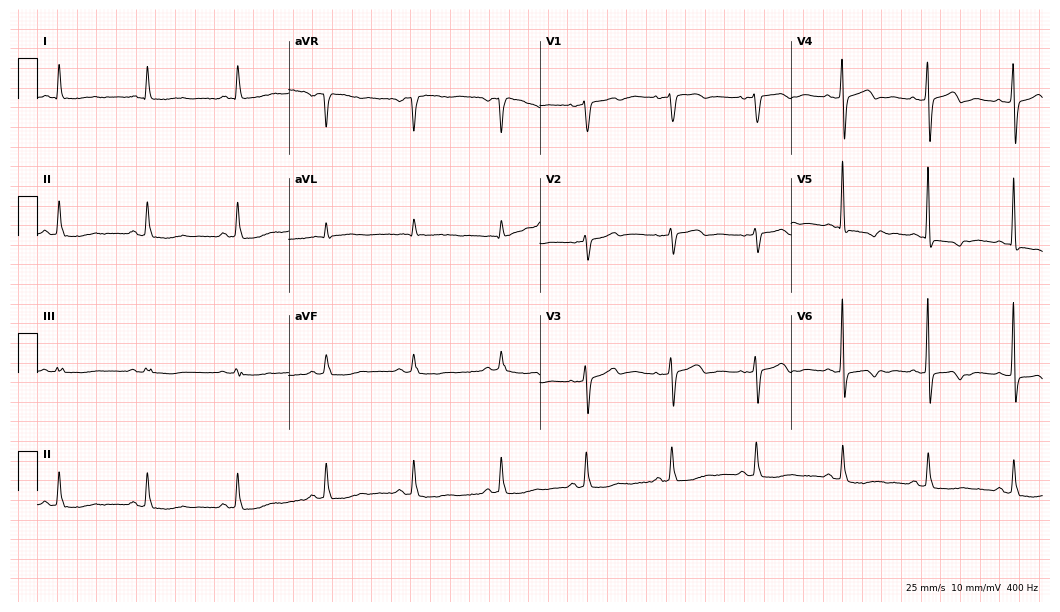
Standard 12-lead ECG recorded from a female, 70 years old. None of these six findings is recorded: first-degree AV block, right bundle branch block (RBBB), left bundle branch block (LBBB), sinus bradycardia, atrial fibrillation (AF), sinus tachycardia. Other findings, if any, are not listed.